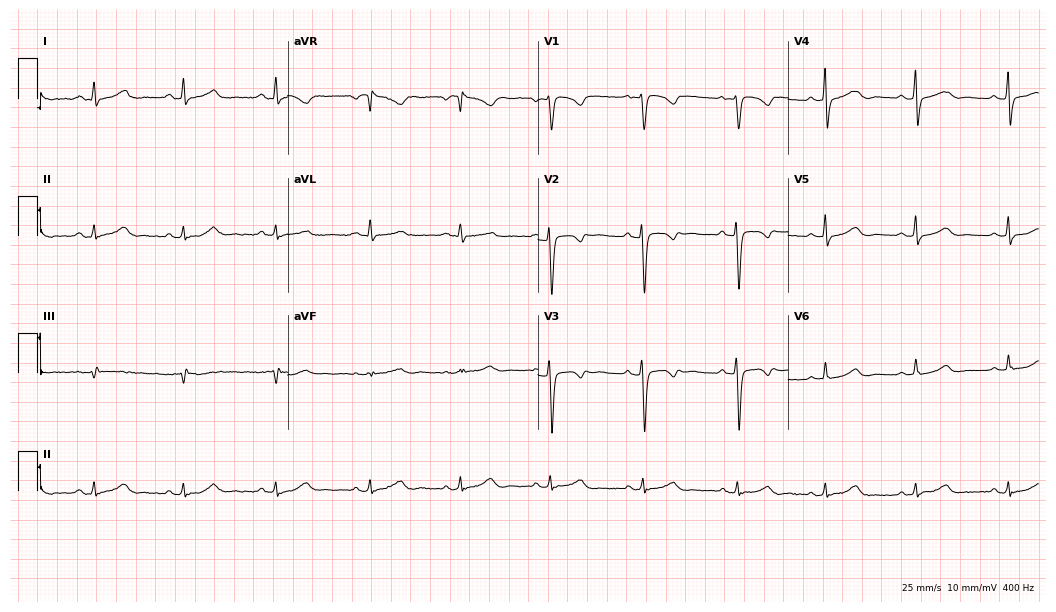
Electrocardiogram, a female patient, 48 years old. Of the six screened findings (first-degree AV block, right bundle branch block, left bundle branch block, sinus bradycardia, atrial fibrillation, sinus tachycardia), none is recorded. Findings outside these six are not listed.